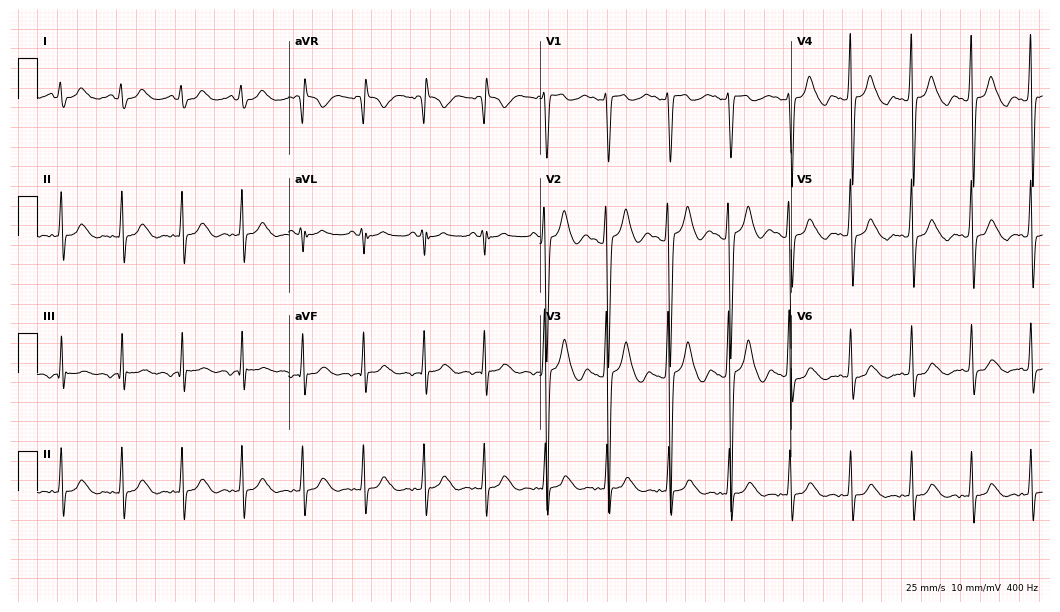
12-lead ECG from a 30-year-old female (10.2-second recording at 400 Hz). No first-degree AV block, right bundle branch block, left bundle branch block, sinus bradycardia, atrial fibrillation or sinus tachycardia recorded for this tracing. Other findings, if any, are not listed.